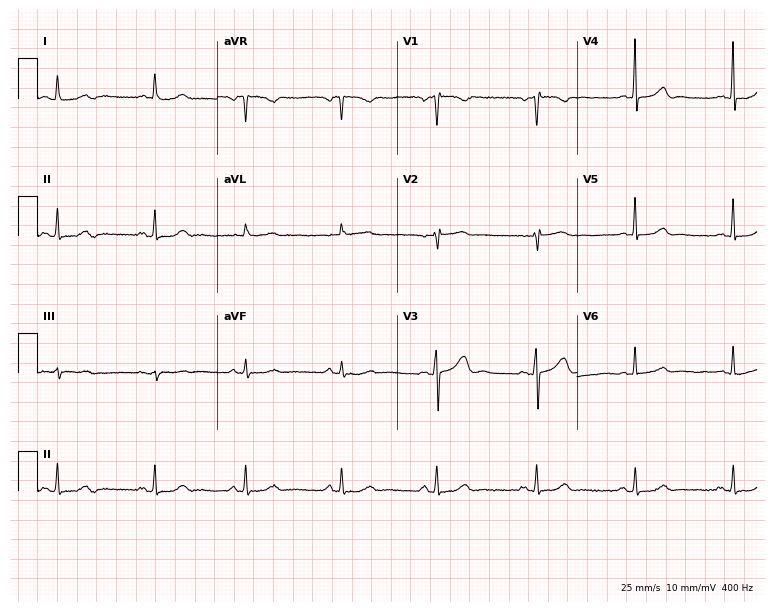
12-lead ECG from a 46-year-old woman. Screened for six findings — first-degree AV block, right bundle branch block, left bundle branch block, sinus bradycardia, atrial fibrillation, sinus tachycardia — none is recorded. Only these six findings were labelled.